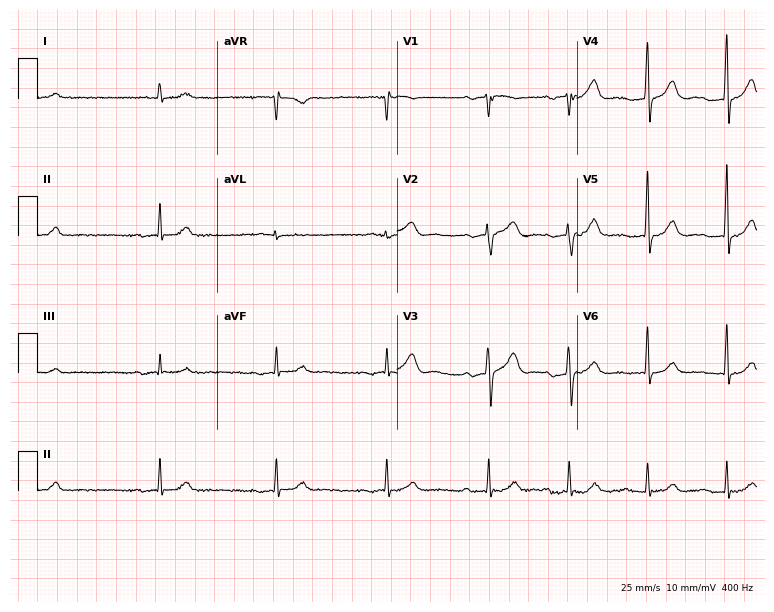
12-lead ECG (7.3-second recording at 400 Hz) from a 73-year-old man. Labelled as a normal ECG.